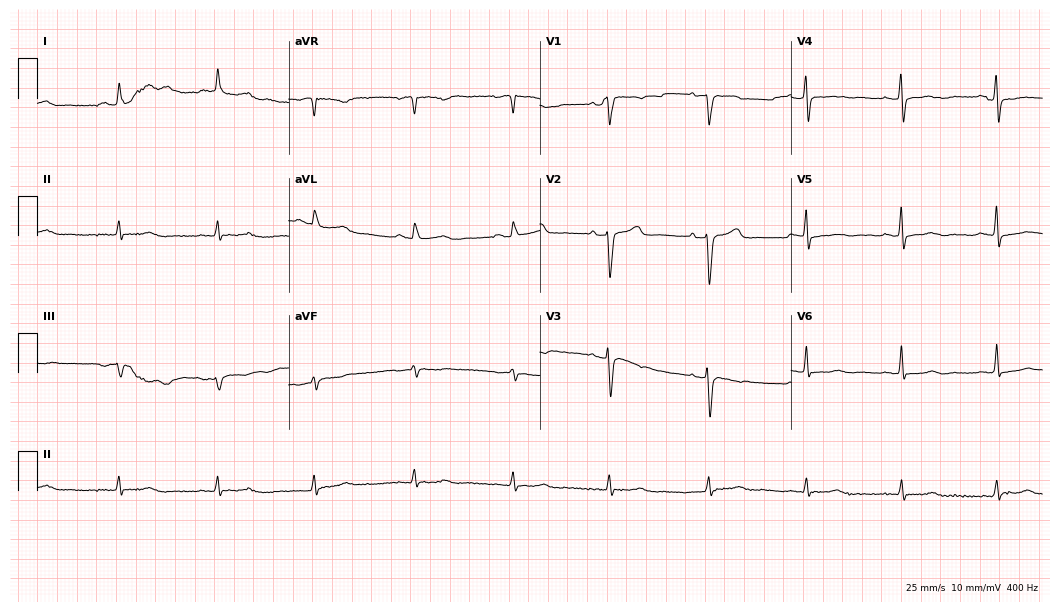
12-lead ECG from a 69-year-old female. Labelled as a normal ECG.